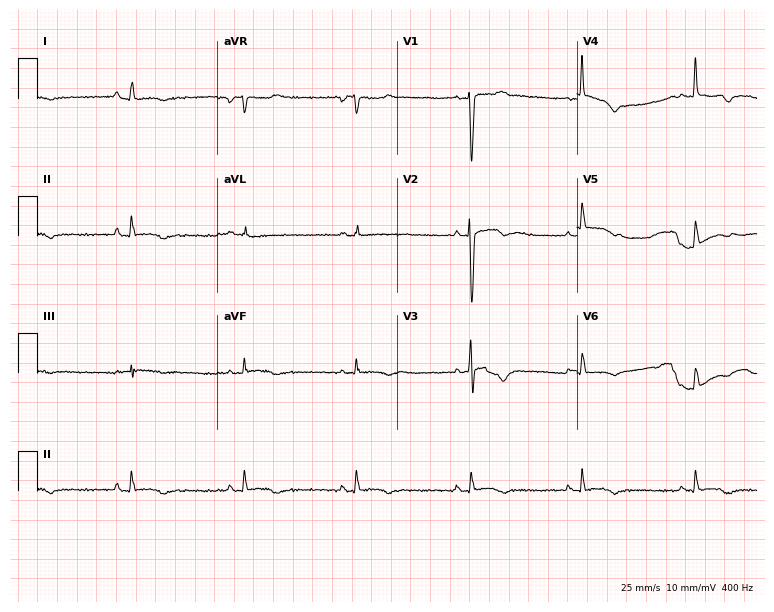
Resting 12-lead electrocardiogram (7.3-second recording at 400 Hz). Patient: a 17-year-old male. None of these six findings is recorded: first-degree AV block, right bundle branch block, left bundle branch block, sinus bradycardia, atrial fibrillation, sinus tachycardia.